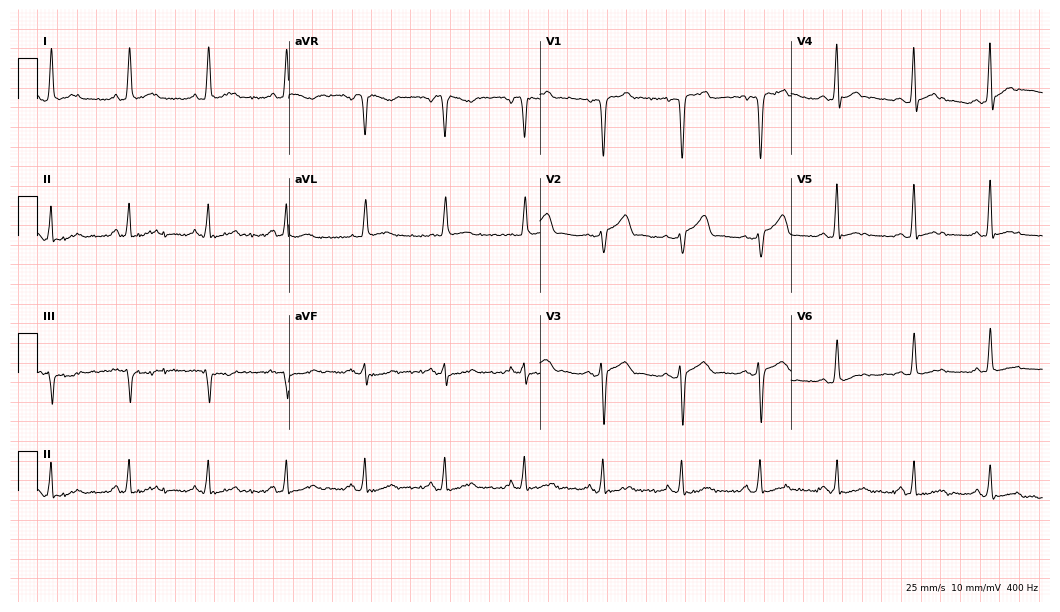
12-lead ECG from a male patient, 43 years old. Recorded interpretation: within normal limits.